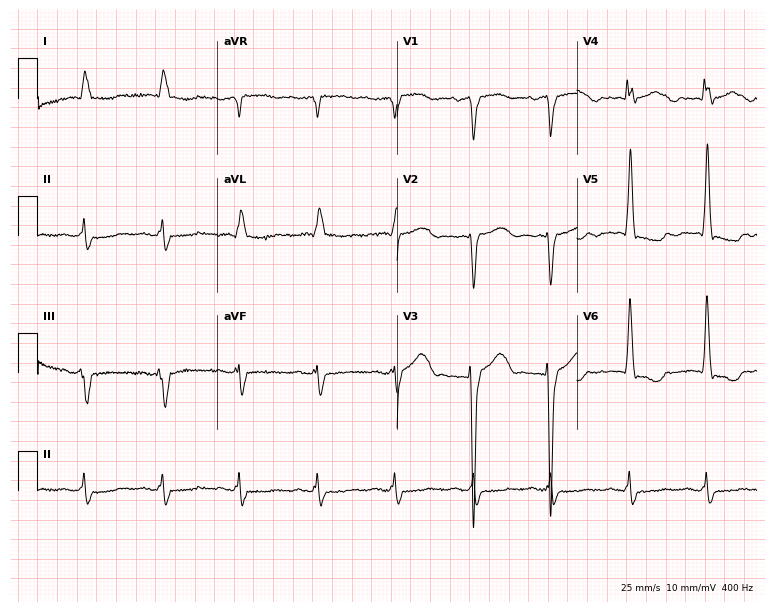
12-lead ECG from a 69-year-old male patient. Findings include left bundle branch block (LBBB).